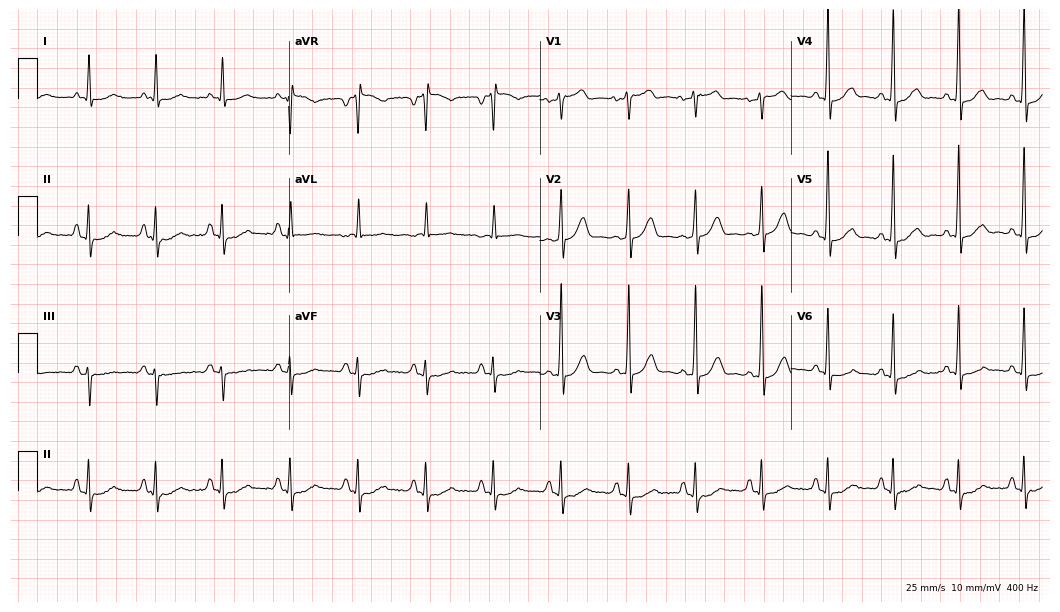
12-lead ECG from a 60-year-old man. Recorded interpretation: within normal limits.